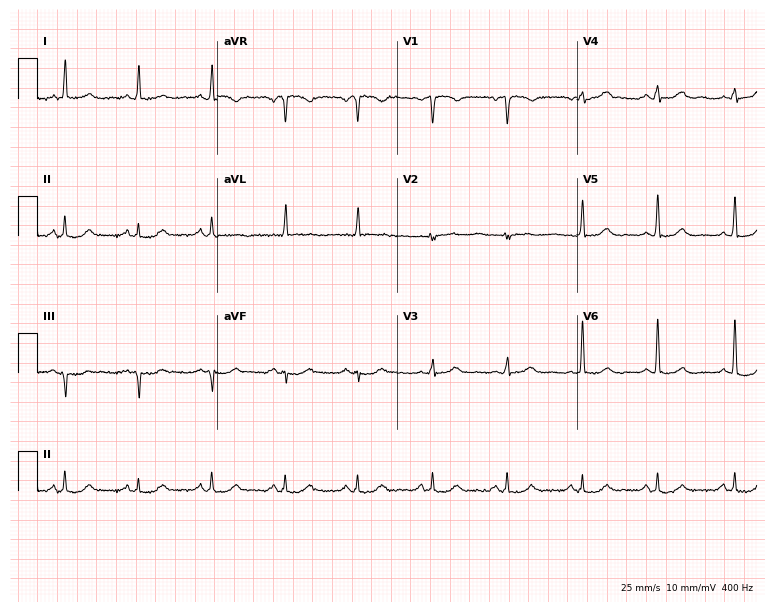
Resting 12-lead electrocardiogram. Patient: a 75-year-old woman. None of these six findings is recorded: first-degree AV block, right bundle branch block (RBBB), left bundle branch block (LBBB), sinus bradycardia, atrial fibrillation (AF), sinus tachycardia.